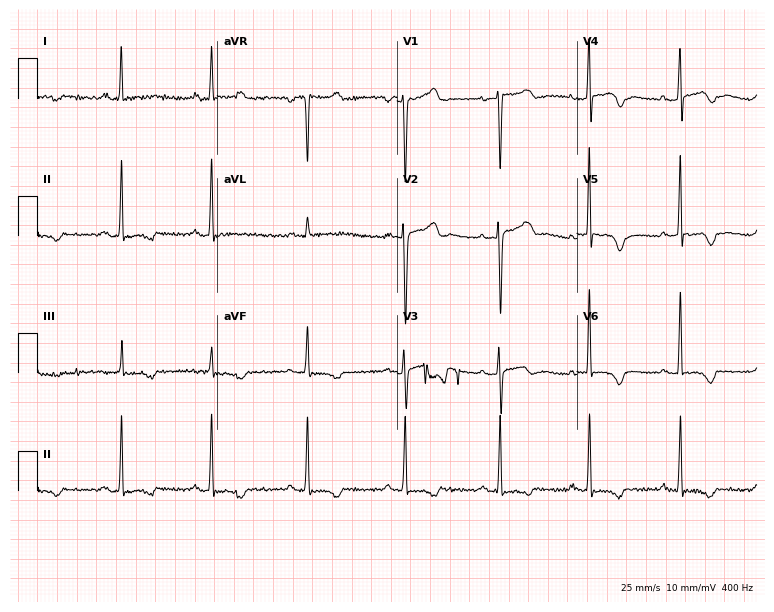
Resting 12-lead electrocardiogram. Patient: a 39-year-old woman. None of these six findings is recorded: first-degree AV block, right bundle branch block, left bundle branch block, sinus bradycardia, atrial fibrillation, sinus tachycardia.